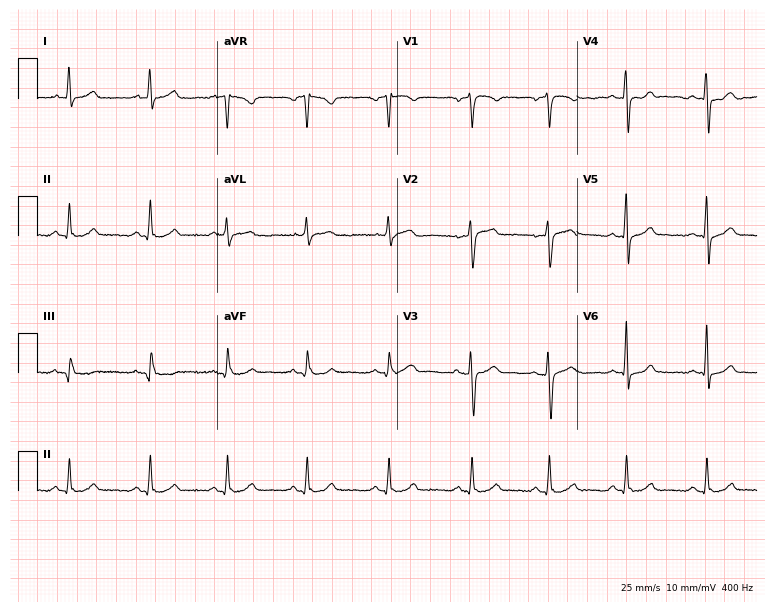
Resting 12-lead electrocardiogram (7.3-second recording at 400 Hz). Patient: a woman, 45 years old. Read as a normal ECG.